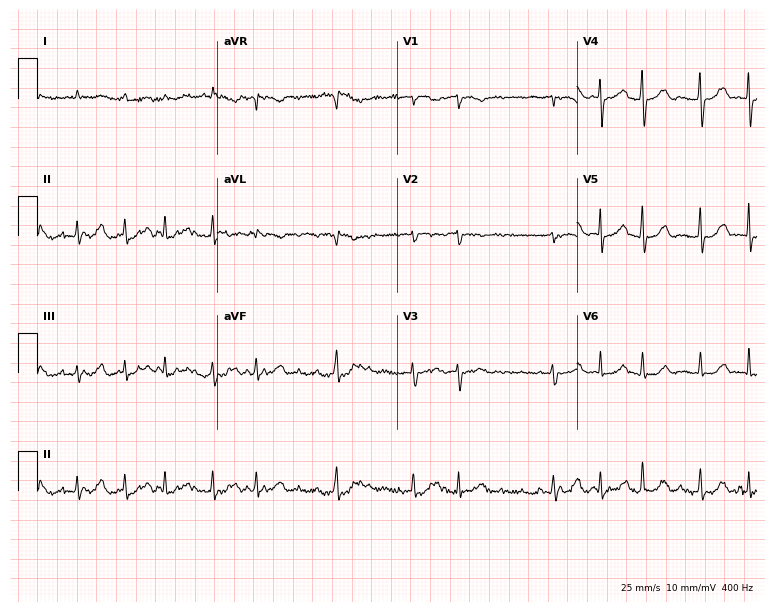
Standard 12-lead ECG recorded from a man, 81 years old. The tracing shows atrial fibrillation (AF).